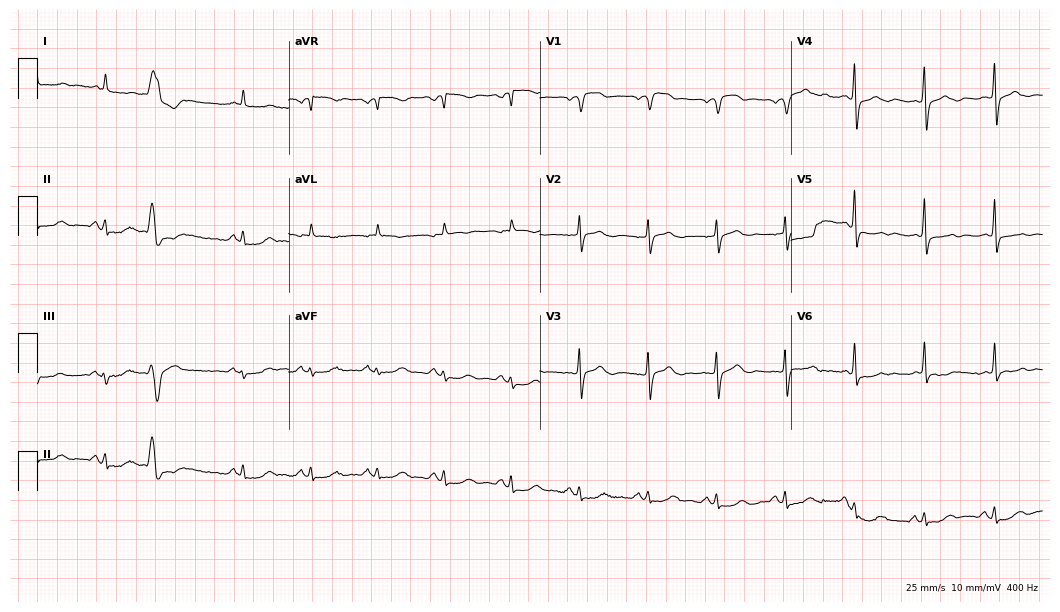
ECG (10.2-second recording at 400 Hz) — a man, 77 years old. Screened for six findings — first-degree AV block, right bundle branch block (RBBB), left bundle branch block (LBBB), sinus bradycardia, atrial fibrillation (AF), sinus tachycardia — none is recorded.